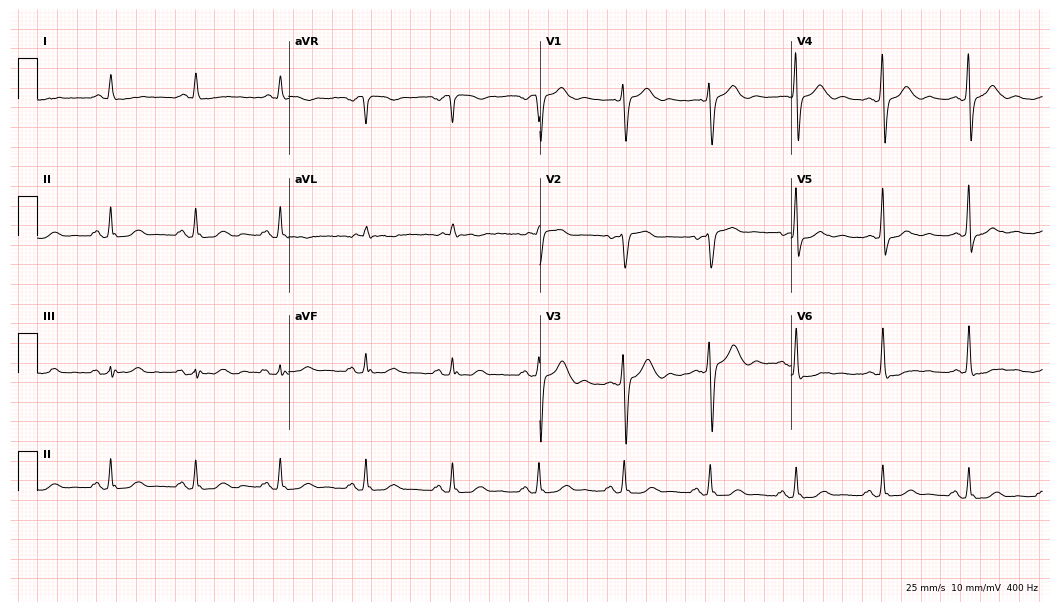
Standard 12-lead ECG recorded from a woman, 52 years old. None of these six findings is recorded: first-degree AV block, right bundle branch block, left bundle branch block, sinus bradycardia, atrial fibrillation, sinus tachycardia. Other findings, if any, are not listed.